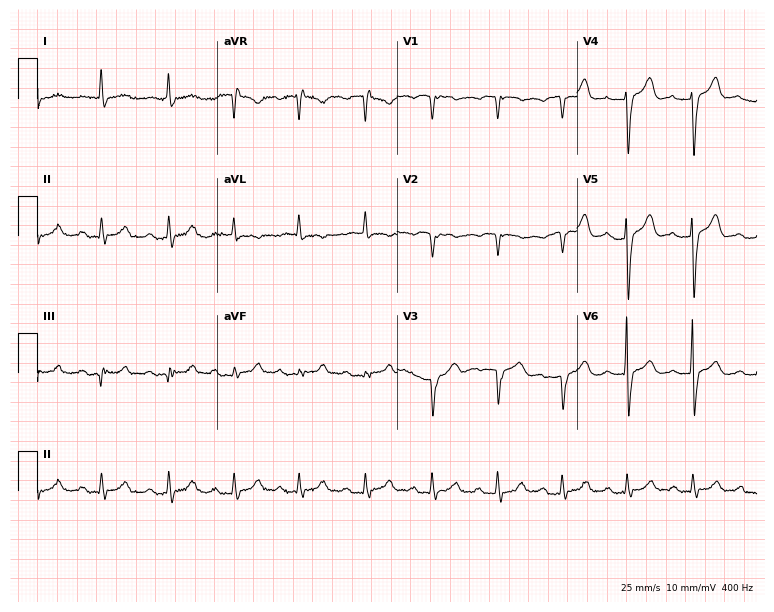
Standard 12-lead ECG recorded from a female, 79 years old. None of these six findings is recorded: first-degree AV block, right bundle branch block, left bundle branch block, sinus bradycardia, atrial fibrillation, sinus tachycardia. Only these six findings were labelled.